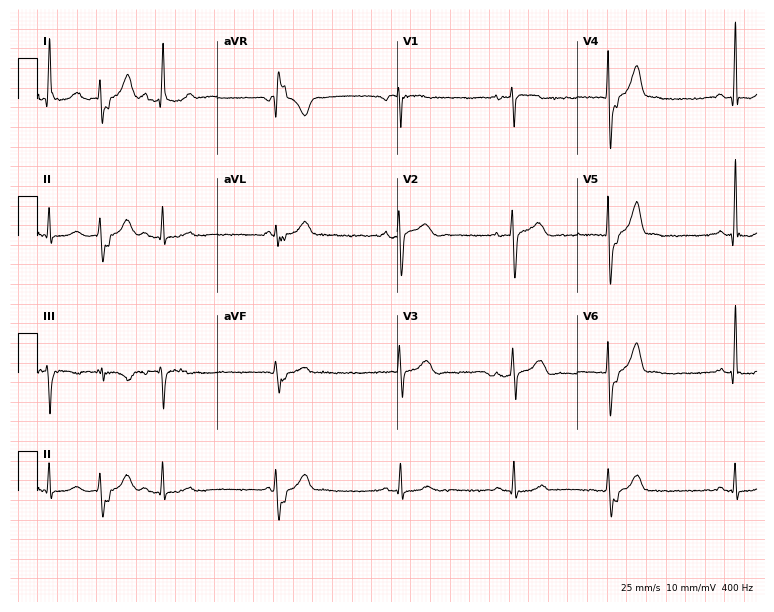
12-lead ECG (7.3-second recording at 400 Hz) from a 62-year-old woman. Screened for six findings — first-degree AV block, right bundle branch block, left bundle branch block, sinus bradycardia, atrial fibrillation, sinus tachycardia — none is recorded.